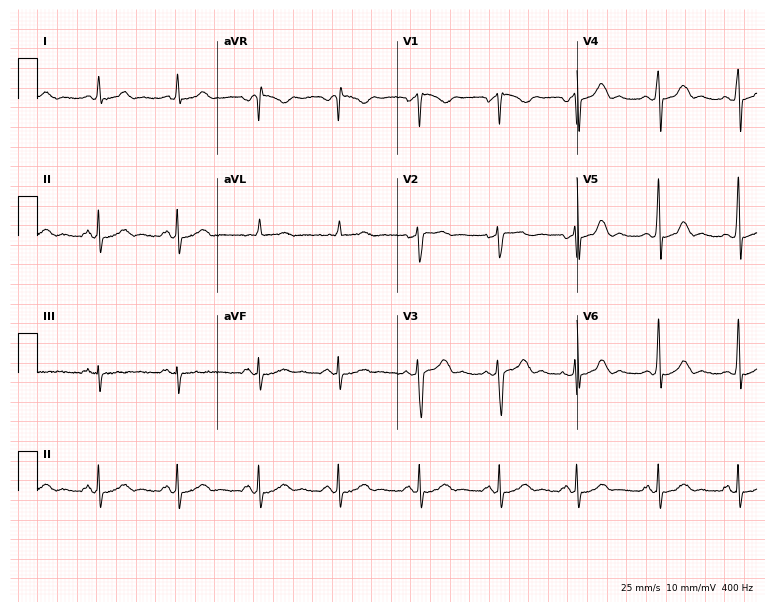
ECG (7.3-second recording at 400 Hz) — a man, 36 years old. Labelled as a normal ECG.